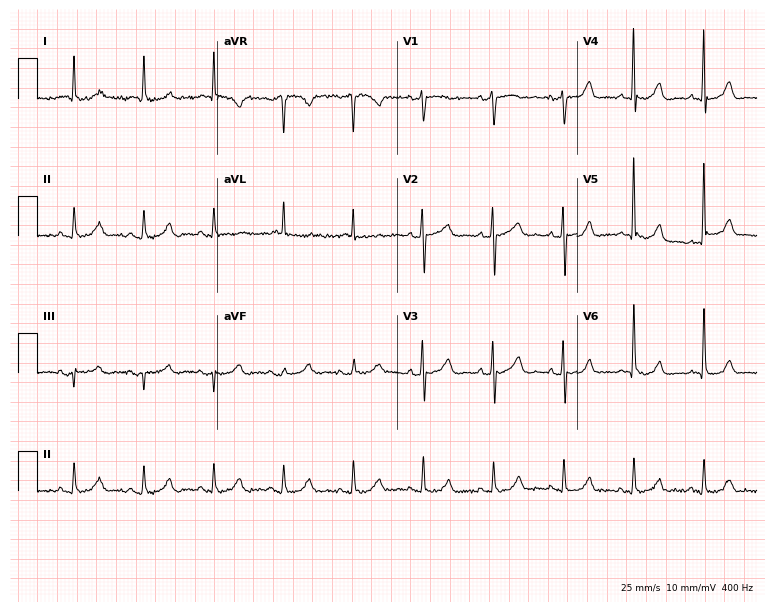
ECG — an 85-year-old female. Labelled as a normal ECG.